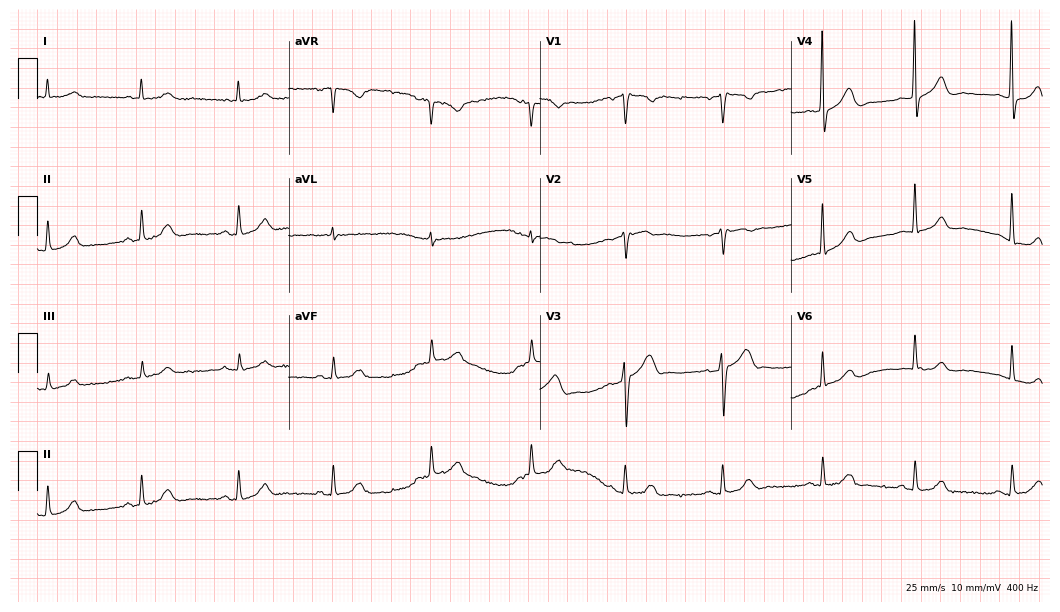
12-lead ECG from a female, 77 years old. Labelled as a normal ECG.